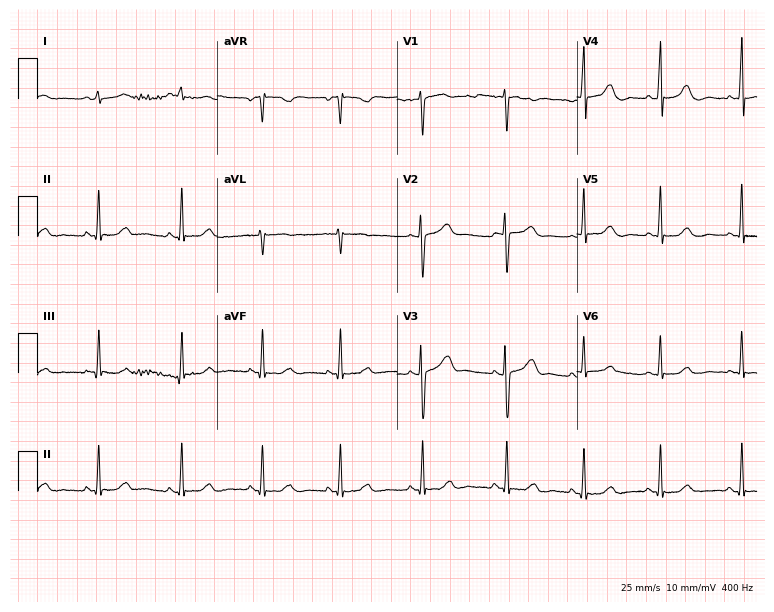
Standard 12-lead ECG recorded from a female, 35 years old (7.3-second recording at 400 Hz). None of these six findings is recorded: first-degree AV block, right bundle branch block, left bundle branch block, sinus bradycardia, atrial fibrillation, sinus tachycardia. Findings outside these six are not listed.